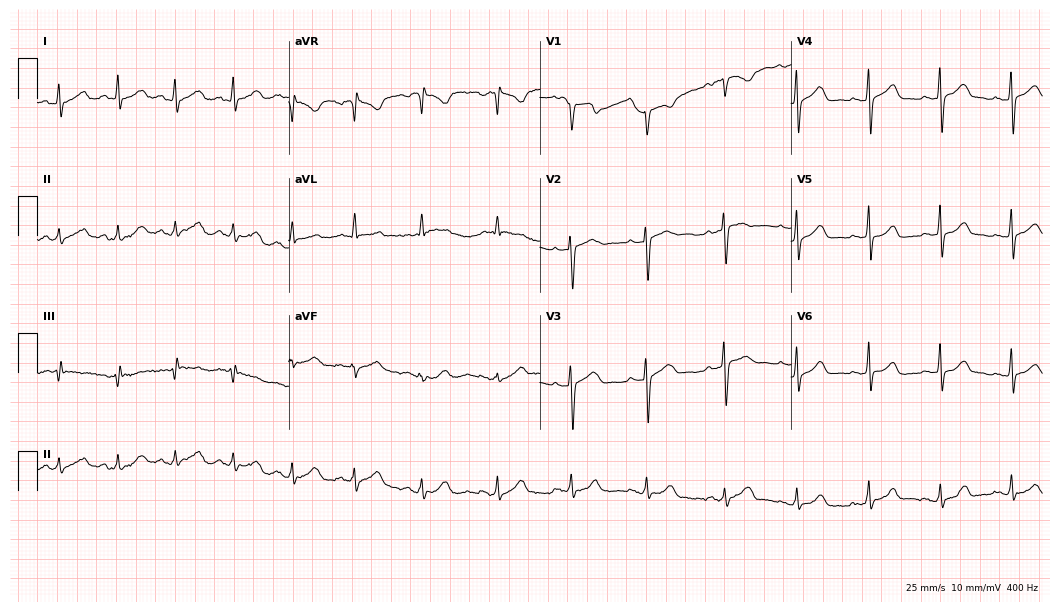
Standard 12-lead ECG recorded from a female patient, 29 years old (10.2-second recording at 400 Hz). None of these six findings is recorded: first-degree AV block, right bundle branch block (RBBB), left bundle branch block (LBBB), sinus bradycardia, atrial fibrillation (AF), sinus tachycardia.